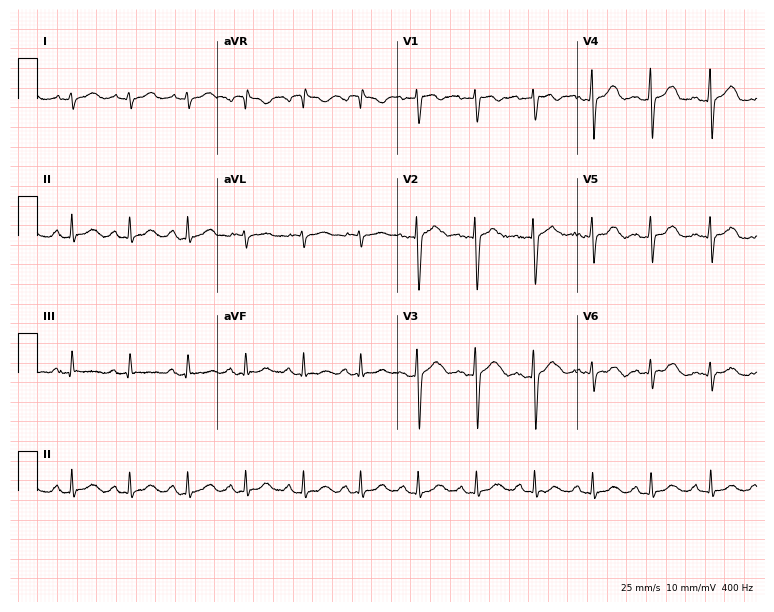
Electrocardiogram, a woman, 36 years old. Of the six screened findings (first-degree AV block, right bundle branch block (RBBB), left bundle branch block (LBBB), sinus bradycardia, atrial fibrillation (AF), sinus tachycardia), none is recorded. Only these six findings were labelled.